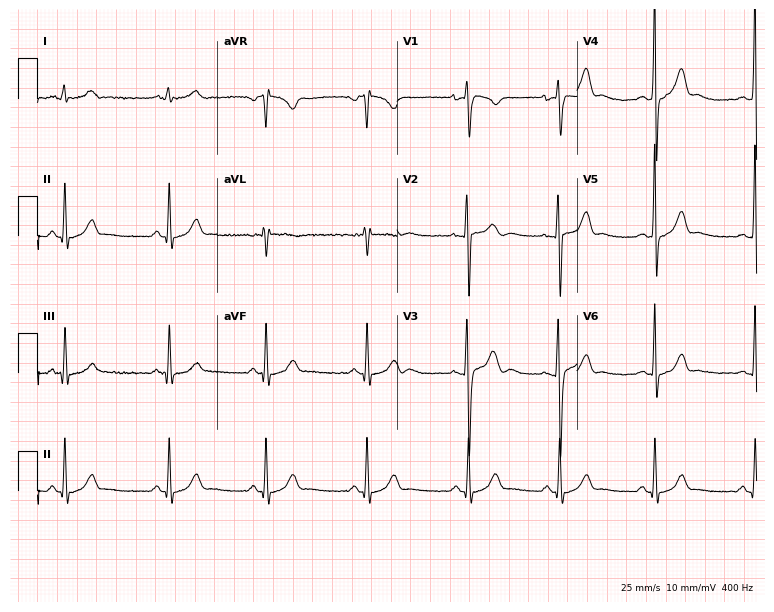
Electrocardiogram, a male patient, 20 years old. Overall reading on record: normal ECG.